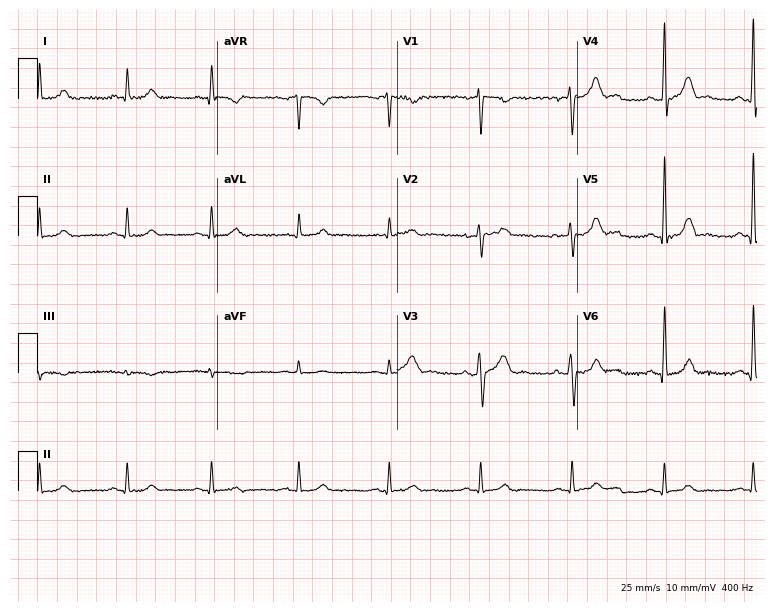
12-lead ECG from a 33-year-old man (7.3-second recording at 400 Hz). Recorded interpretation: within normal limits.